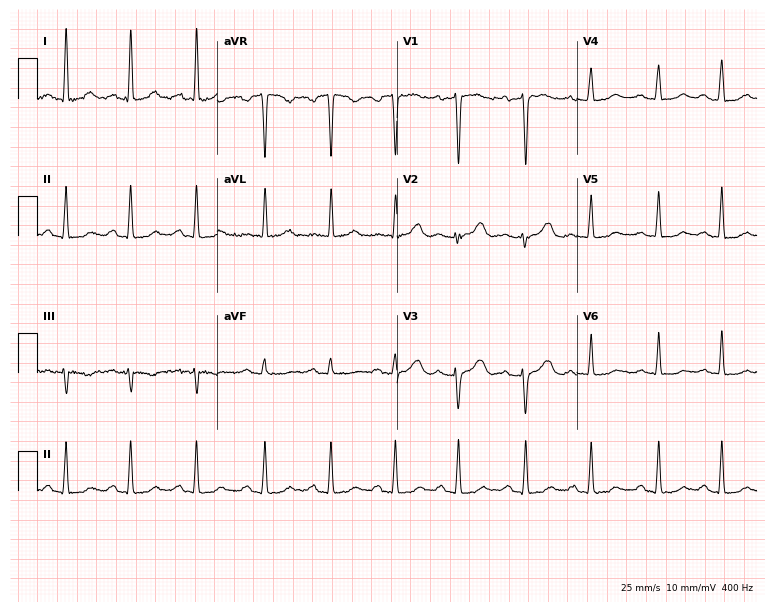
Resting 12-lead electrocardiogram. Patient: a 45-year-old woman. None of these six findings is recorded: first-degree AV block, right bundle branch block, left bundle branch block, sinus bradycardia, atrial fibrillation, sinus tachycardia. Findings outside these six are not listed.